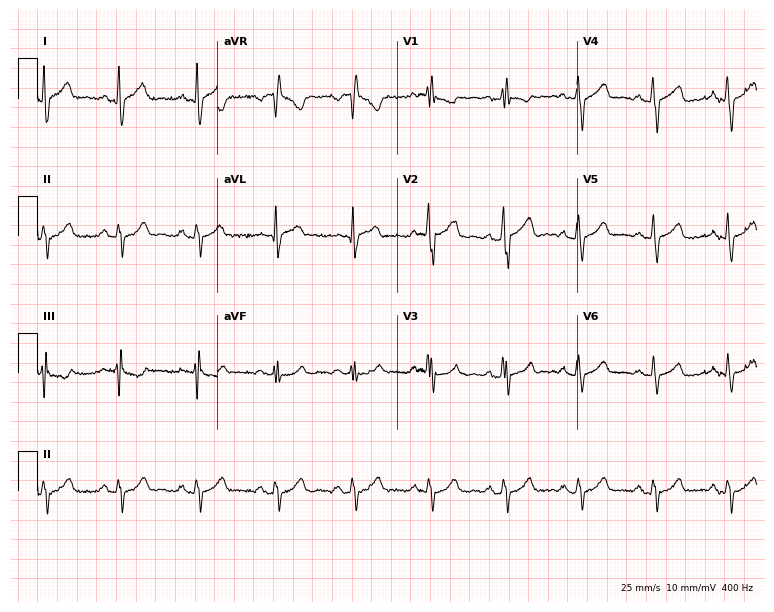
12-lead ECG (7.3-second recording at 400 Hz) from a 41-year-old female. Screened for six findings — first-degree AV block, right bundle branch block (RBBB), left bundle branch block (LBBB), sinus bradycardia, atrial fibrillation (AF), sinus tachycardia — none is recorded. Other findings, if any, are not listed.